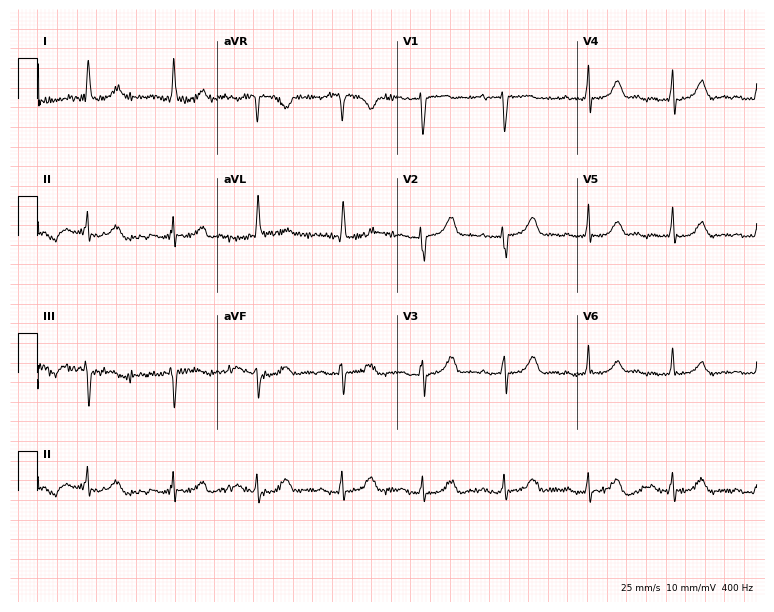
12-lead ECG from a 69-year-old female. No first-degree AV block, right bundle branch block, left bundle branch block, sinus bradycardia, atrial fibrillation or sinus tachycardia recorded for this tracing. Findings outside these six are not listed.